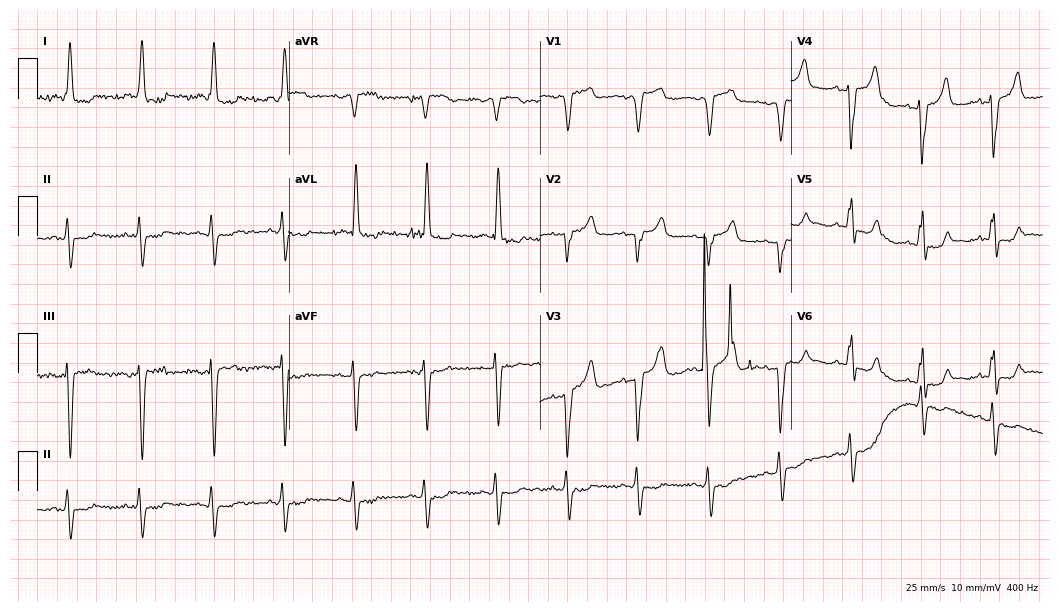
Electrocardiogram, a 73-year-old woman. Interpretation includes left bundle branch block (LBBB).